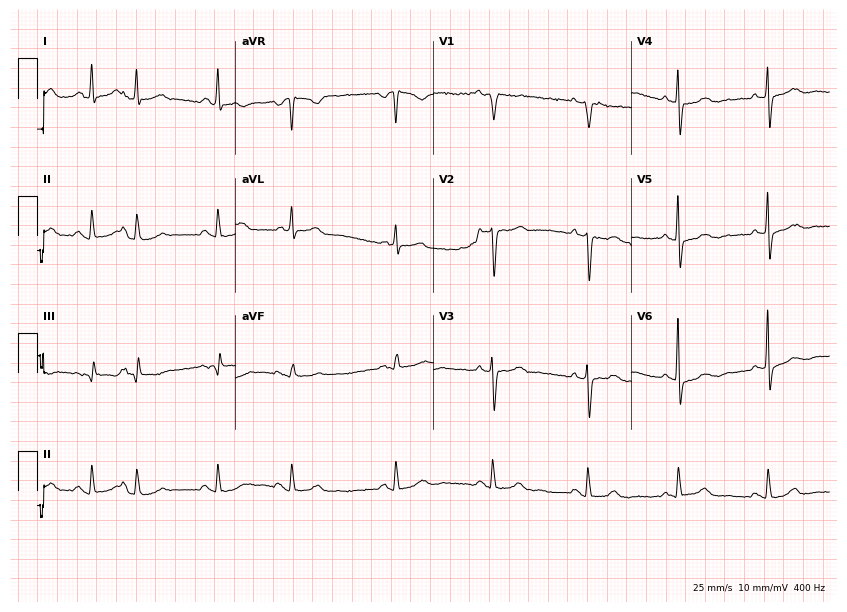
Resting 12-lead electrocardiogram (8.1-second recording at 400 Hz). Patient: a male, 84 years old. None of these six findings is recorded: first-degree AV block, right bundle branch block, left bundle branch block, sinus bradycardia, atrial fibrillation, sinus tachycardia.